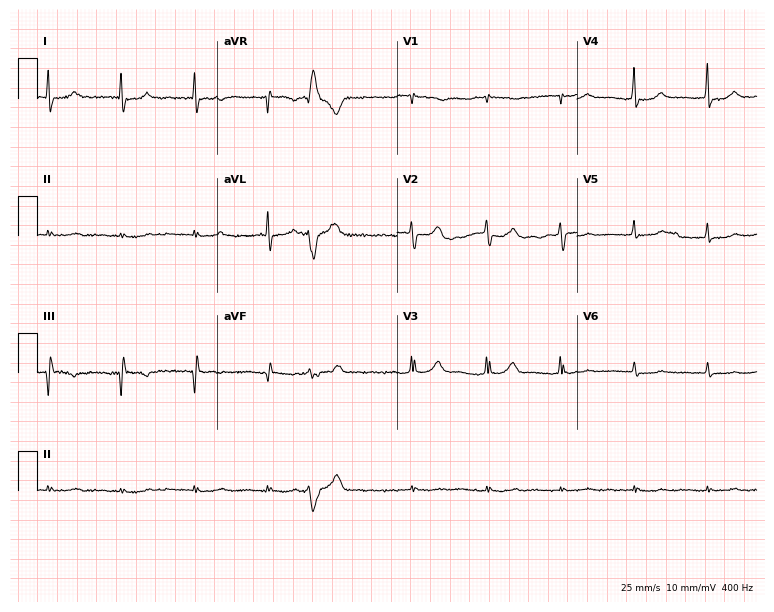
ECG — a male, 63 years old. Screened for six findings — first-degree AV block, right bundle branch block, left bundle branch block, sinus bradycardia, atrial fibrillation, sinus tachycardia — none is recorded. Only these six findings were labelled.